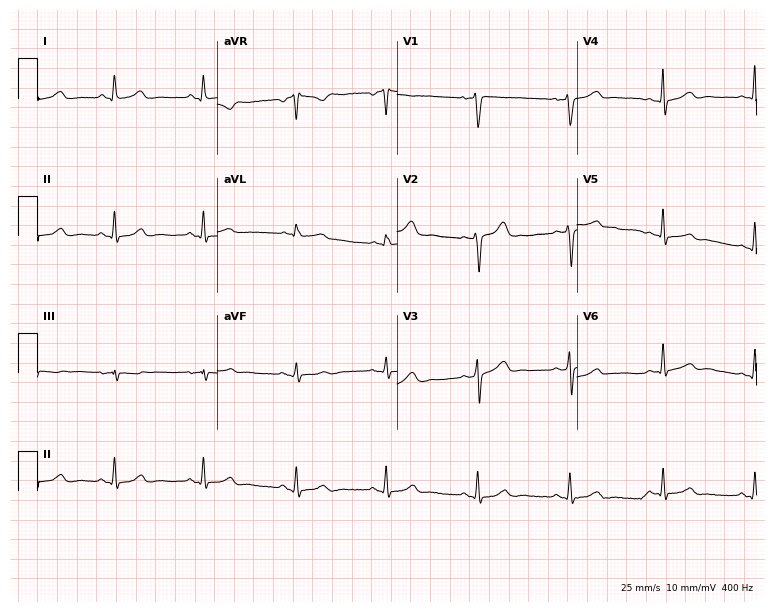
12-lead ECG (7.3-second recording at 400 Hz) from a 39-year-old female. Screened for six findings — first-degree AV block, right bundle branch block, left bundle branch block, sinus bradycardia, atrial fibrillation, sinus tachycardia — none is recorded.